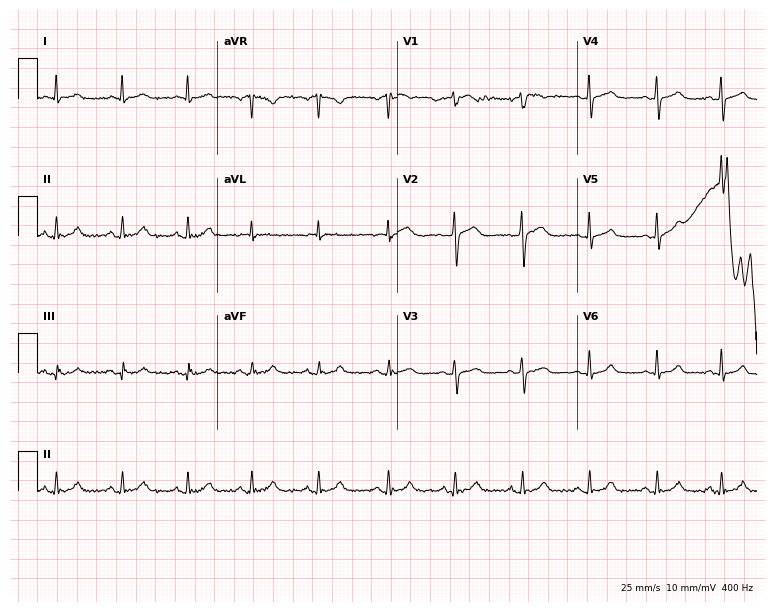
ECG (7.3-second recording at 400 Hz) — a 54-year-old female patient. Labelled as a normal ECG.